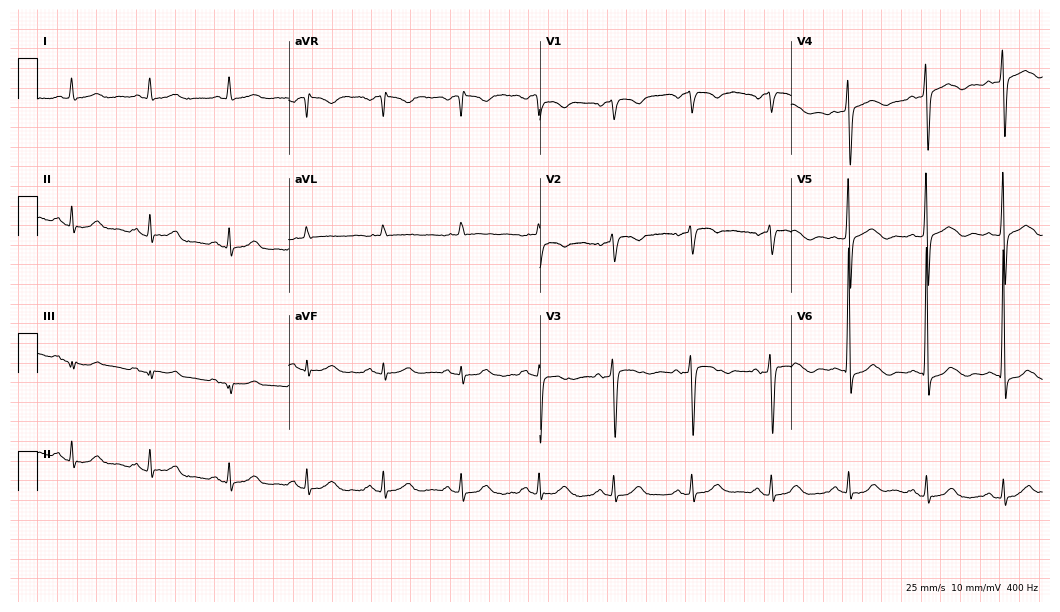
12-lead ECG (10.2-second recording at 400 Hz) from a male, 75 years old. Screened for six findings — first-degree AV block, right bundle branch block, left bundle branch block, sinus bradycardia, atrial fibrillation, sinus tachycardia — none is recorded.